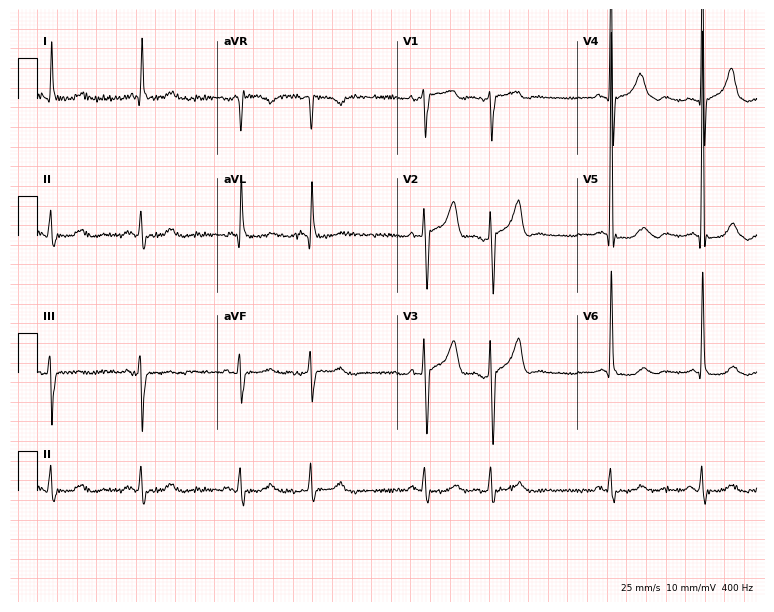
Standard 12-lead ECG recorded from a man, 76 years old (7.3-second recording at 400 Hz). None of these six findings is recorded: first-degree AV block, right bundle branch block, left bundle branch block, sinus bradycardia, atrial fibrillation, sinus tachycardia.